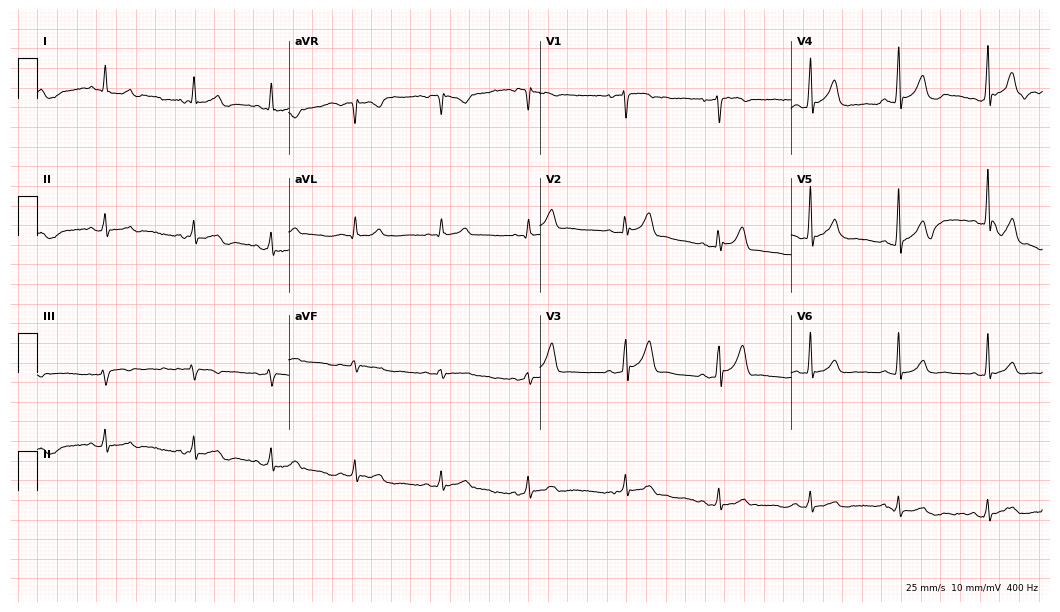
Standard 12-lead ECG recorded from a 40-year-old male patient. Read as a normal ECG.